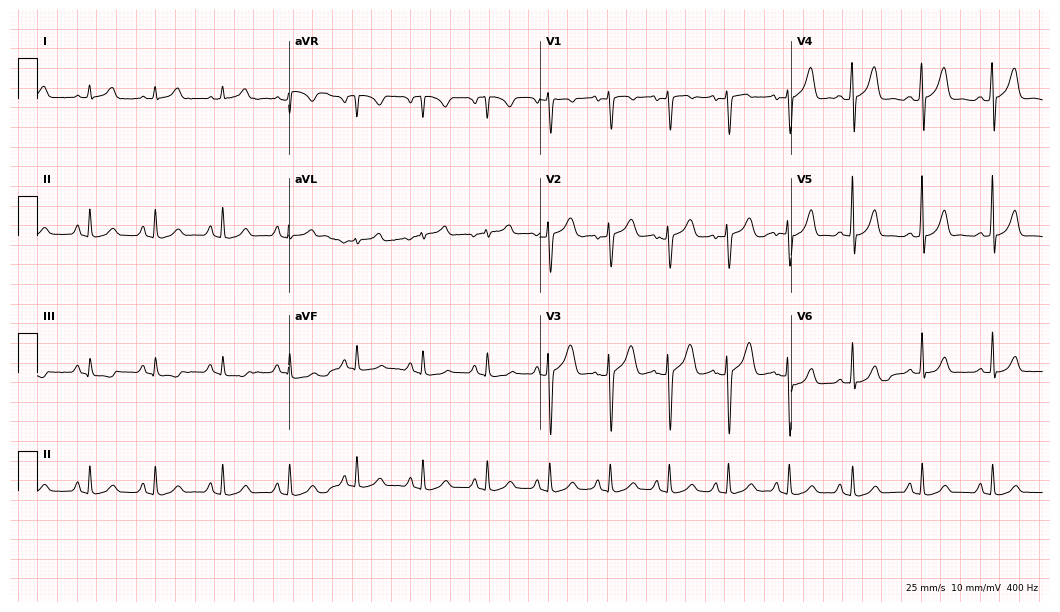
ECG — a 21-year-old female patient. Labelled as a normal ECG.